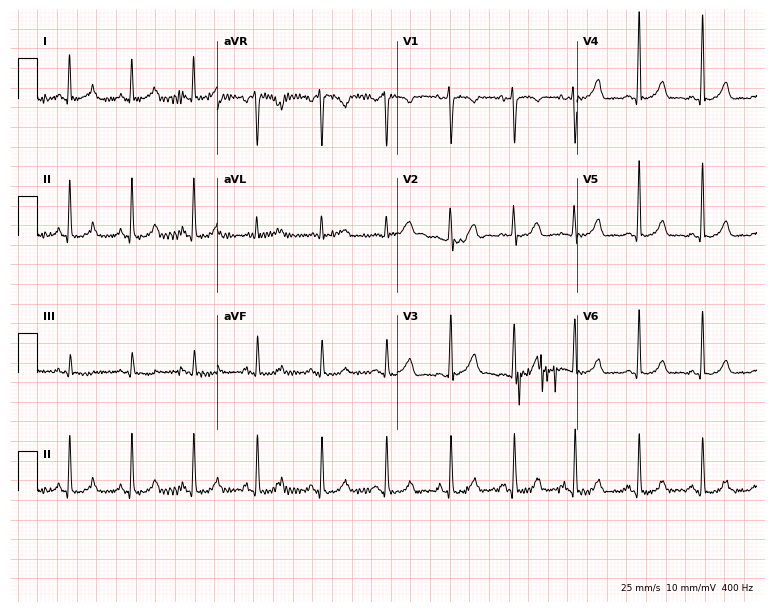
Standard 12-lead ECG recorded from a female, 46 years old. None of these six findings is recorded: first-degree AV block, right bundle branch block, left bundle branch block, sinus bradycardia, atrial fibrillation, sinus tachycardia.